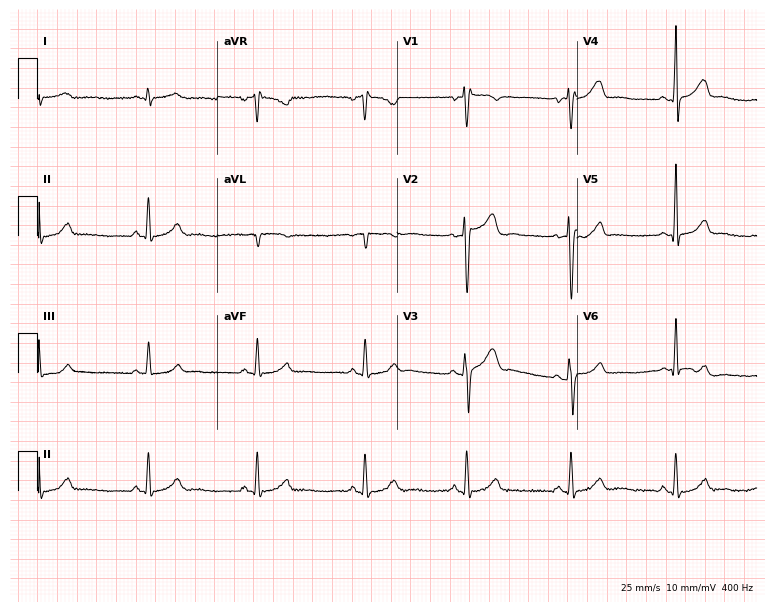
ECG — a male patient, 31 years old. Labelled as a normal ECG.